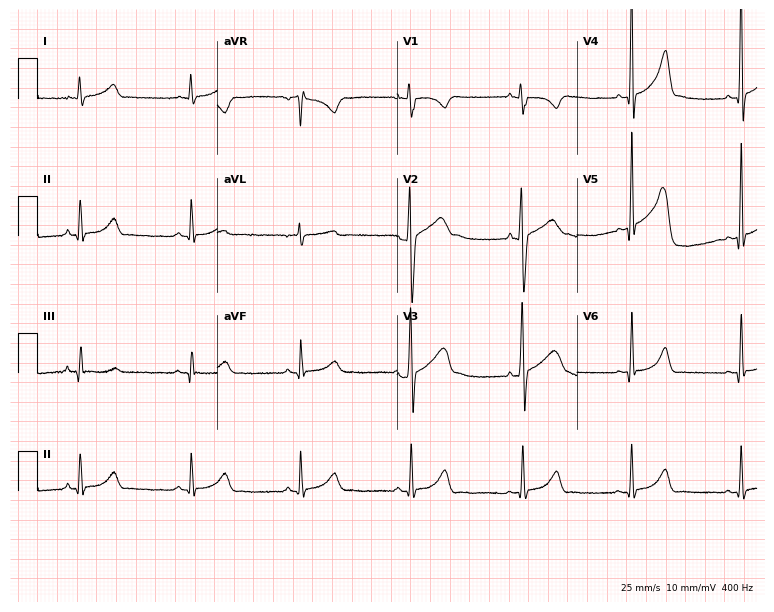
Standard 12-lead ECG recorded from an 18-year-old man. None of these six findings is recorded: first-degree AV block, right bundle branch block, left bundle branch block, sinus bradycardia, atrial fibrillation, sinus tachycardia.